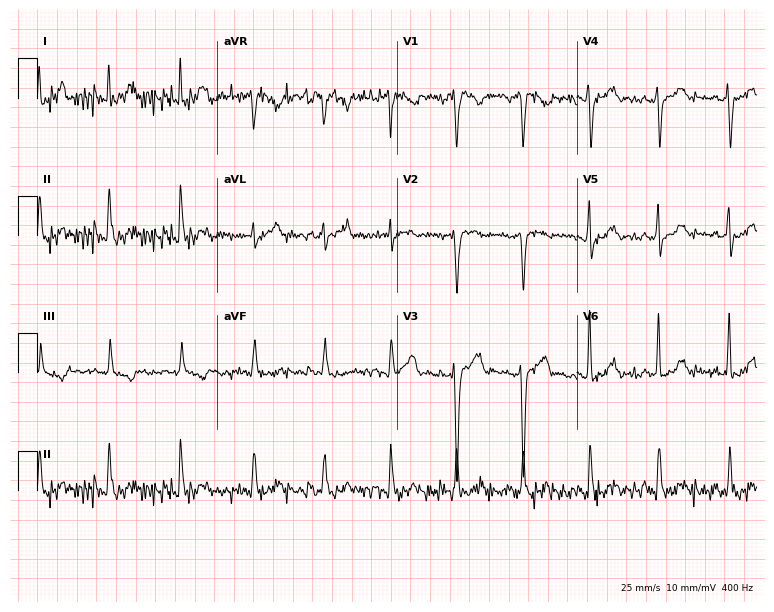
12-lead ECG from a 27-year-old man. Screened for six findings — first-degree AV block, right bundle branch block (RBBB), left bundle branch block (LBBB), sinus bradycardia, atrial fibrillation (AF), sinus tachycardia — none is recorded.